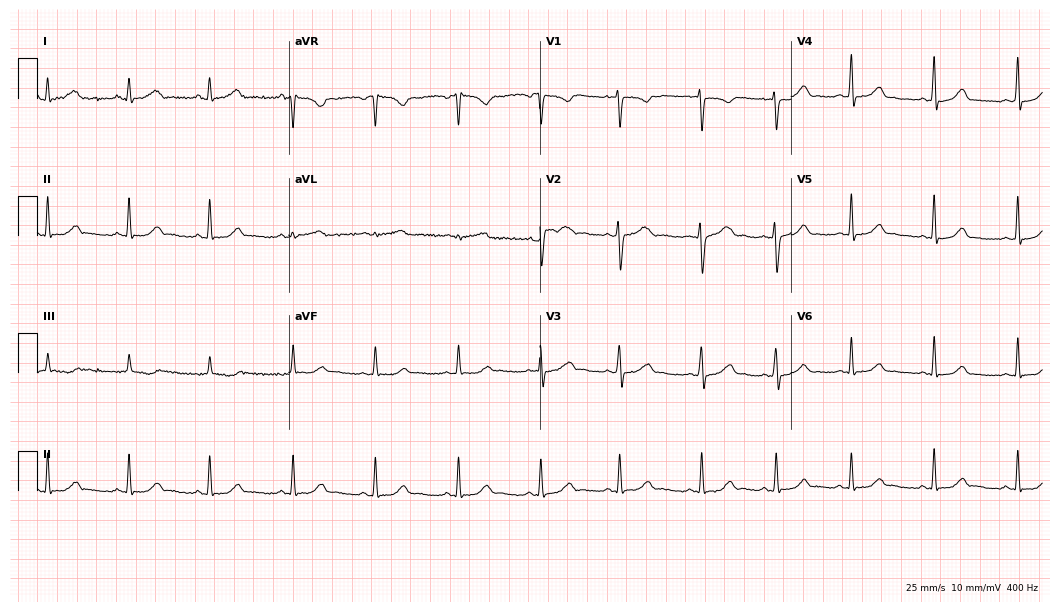
Standard 12-lead ECG recorded from a female patient, 24 years old. Read as a normal ECG.